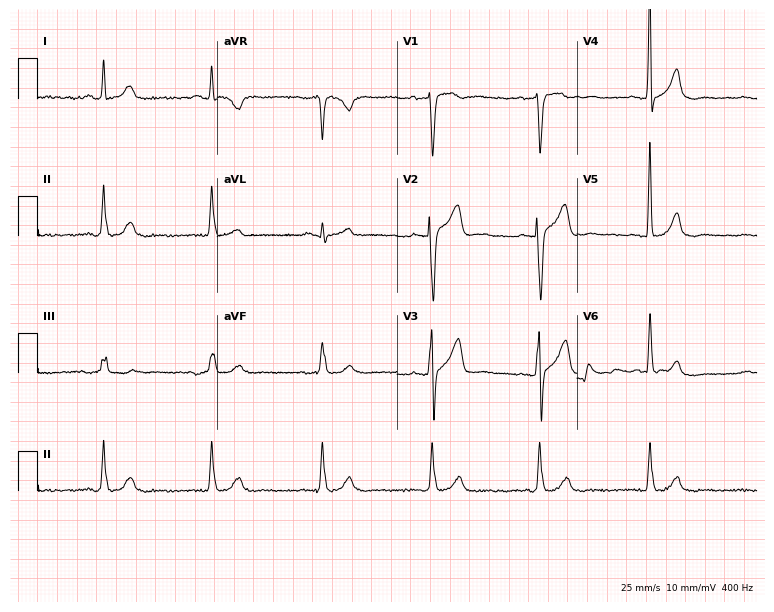
ECG (7.3-second recording at 400 Hz) — a male, 65 years old. Screened for six findings — first-degree AV block, right bundle branch block, left bundle branch block, sinus bradycardia, atrial fibrillation, sinus tachycardia — none is recorded.